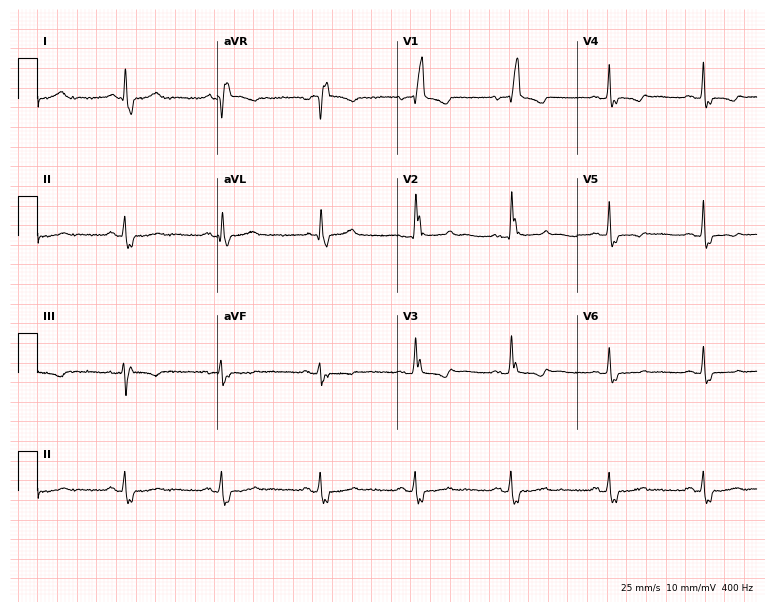
12-lead ECG from a woman, 76 years old. Screened for six findings — first-degree AV block, right bundle branch block, left bundle branch block, sinus bradycardia, atrial fibrillation, sinus tachycardia — none is recorded. Only these six findings were labelled.